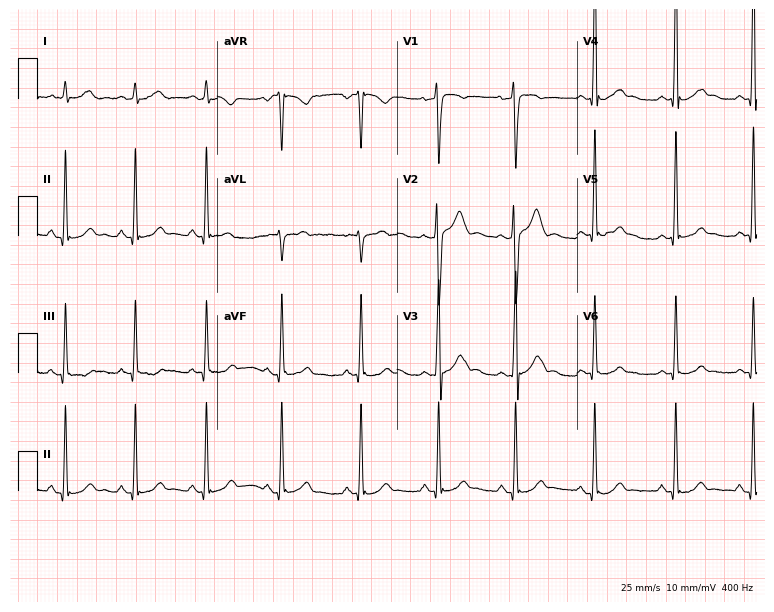
Electrocardiogram (7.3-second recording at 400 Hz), a 20-year-old male patient. Overall reading on record: normal ECG.